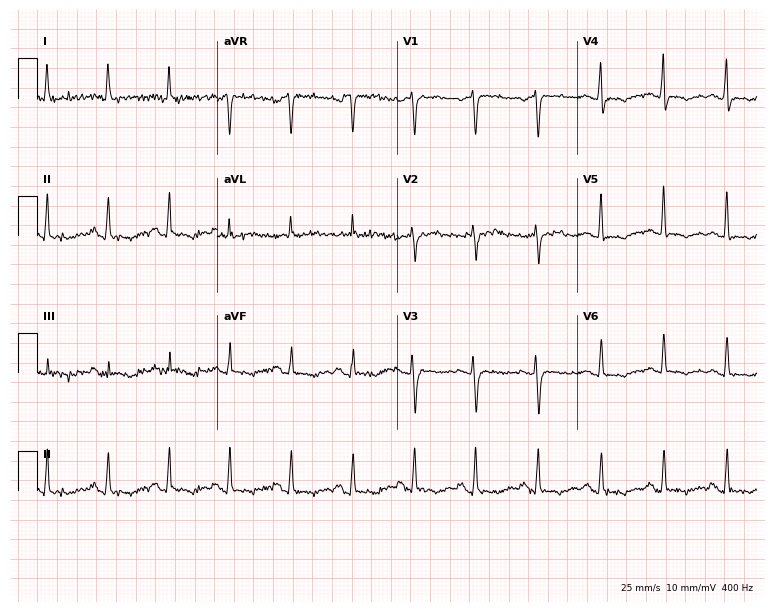
Standard 12-lead ECG recorded from a female patient, 46 years old (7.3-second recording at 400 Hz). None of these six findings is recorded: first-degree AV block, right bundle branch block (RBBB), left bundle branch block (LBBB), sinus bradycardia, atrial fibrillation (AF), sinus tachycardia.